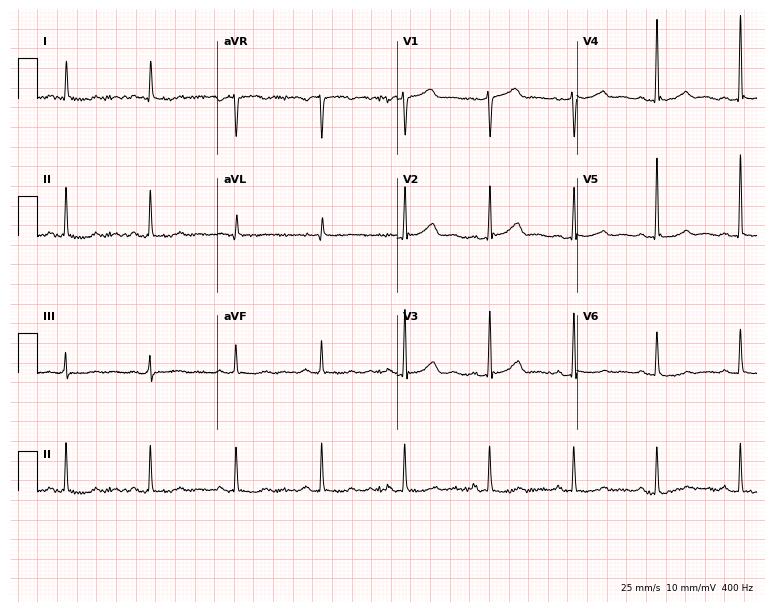
Standard 12-lead ECG recorded from a 56-year-old female patient. None of these six findings is recorded: first-degree AV block, right bundle branch block, left bundle branch block, sinus bradycardia, atrial fibrillation, sinus tachycardia. Other findings, if any, are not listed.